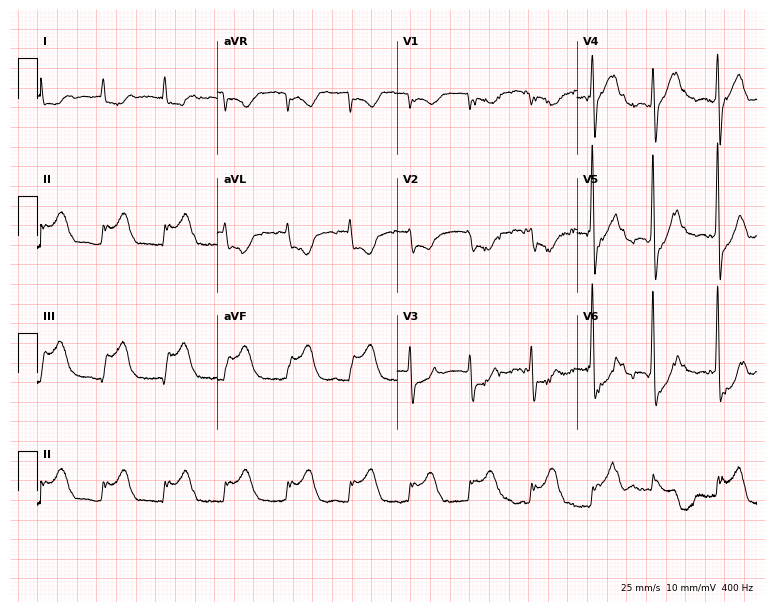
Electrocardiogram, a male patient, 78 years old. Of the six screened findings (first-degree AV block, right bundle branch block, left bundle branch block, sinus bradycardia, atrial fibrillation, sinus tachycardia), none is recorded.